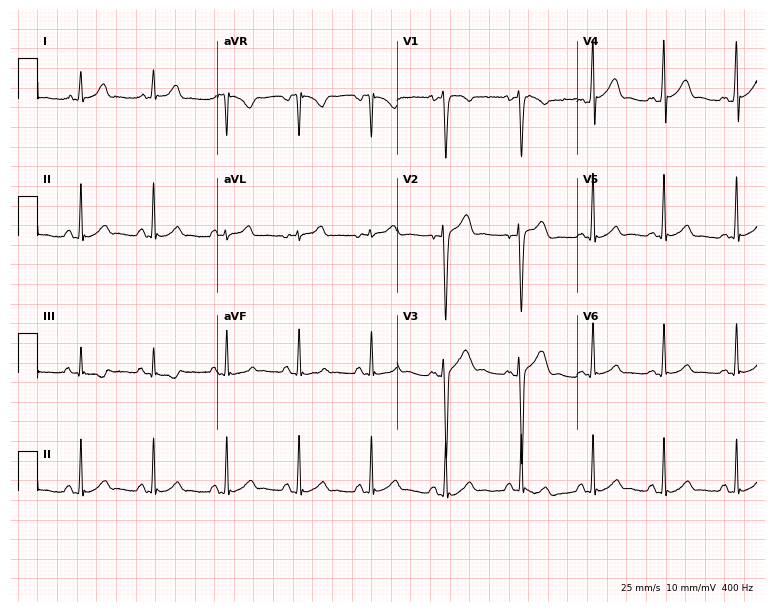
ECG — a male patient, 18 years old. Labelled as a normal ECG.